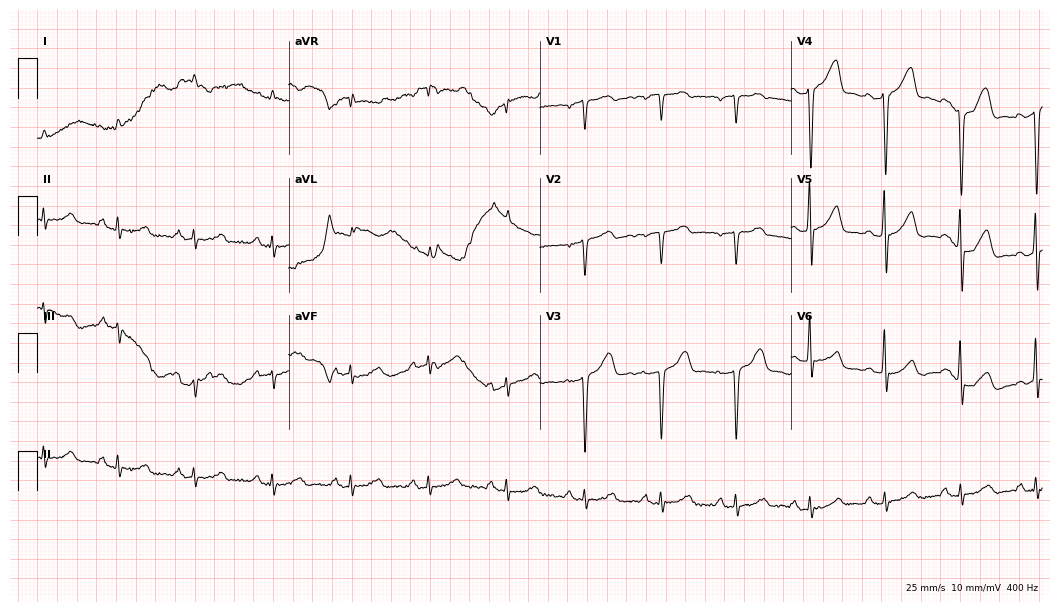
12-lead ECG from a 73-year-old male patient (10.2-second recording at 400 Hz). No first-degree AV block, right bundle branch block (RBBB), left bundle branch block (LBBB), sinus bradycardia, atrial fibrillation (AF) or sinus tachycardia recorded for this tracing.